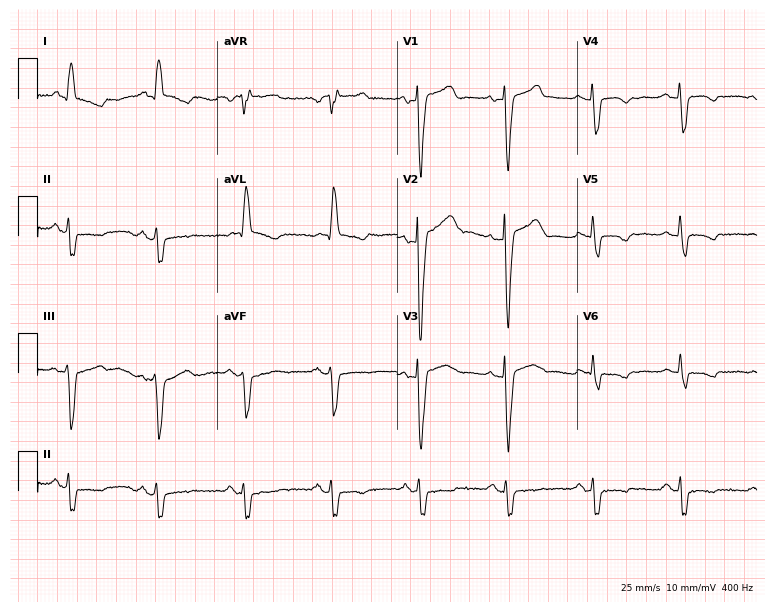
12-lead ECG (7.3-second recording at 400 Hz) from a 69-year-old male patient. Findings include left bundle branch block.